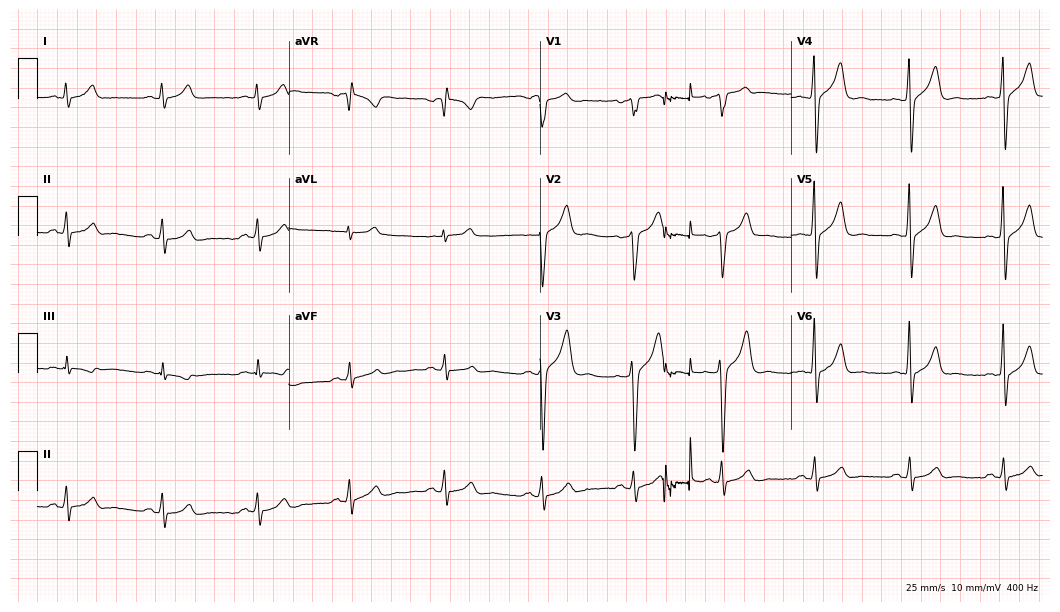
12-lead ECG (10.2-second recording at 400 Hz) from a male, 36 years old. Screened for six findings — first-degree AV block, right bundle branch block, left bundle branch block, sinus bradycardia, atrial fibrillation, sinus tachycardia — none is recorded. Other findings, if any, are not listed.